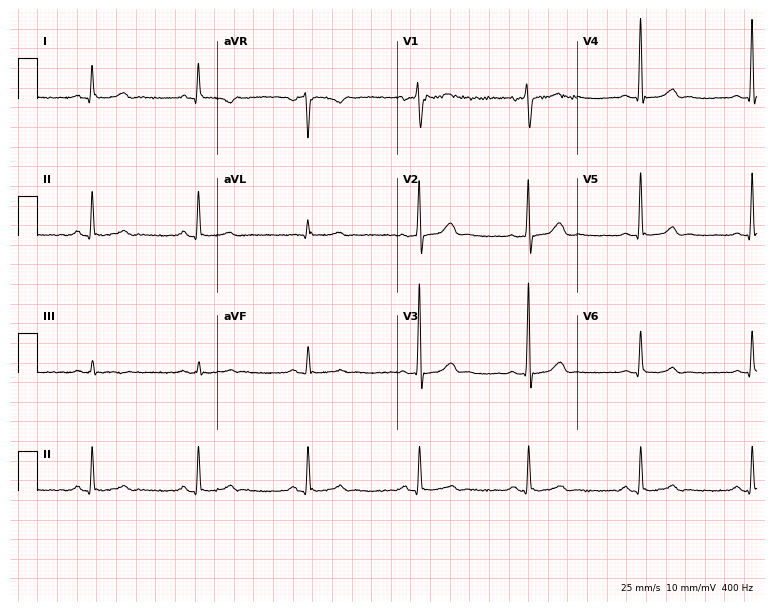
Standard 12-lead ECG recorded from a male, 46 years old (7.3-second recording at 400 Hz). Read as a normal ECG.